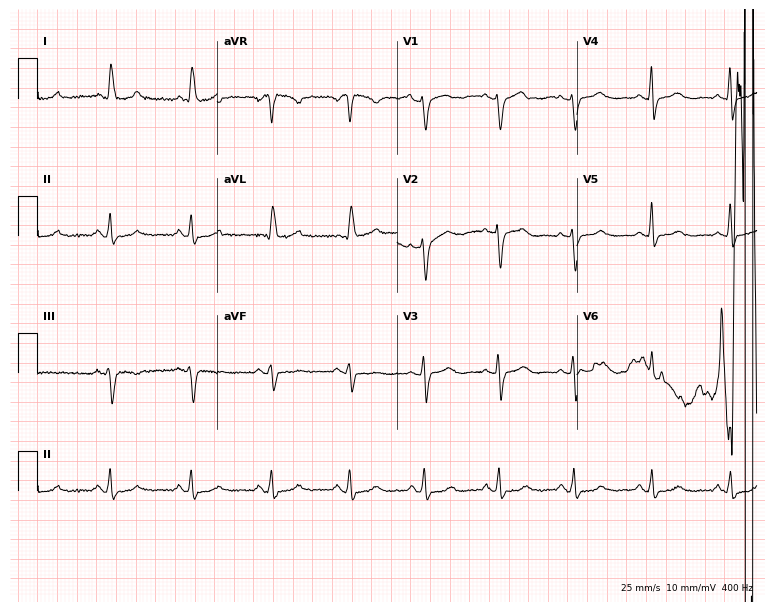
12-lead ECG from a man, 71 years old. Screened for six findings — first-degree AV block, right bundle branch block, left bundle branch block, sinus bradycardia, atrial fibrillation, sinus tachycardia — none is recorded.